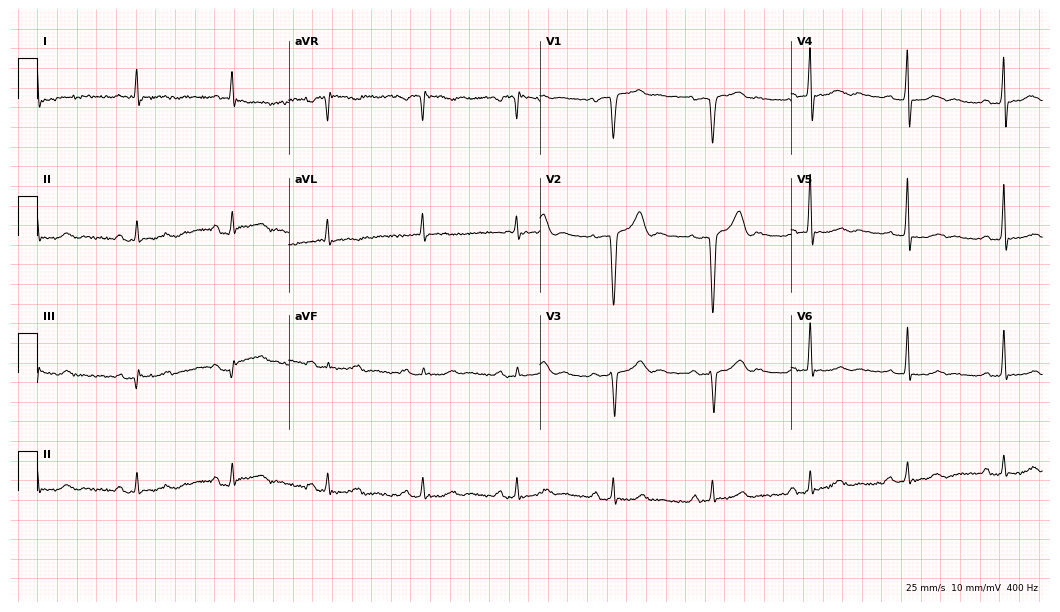
ECG — a male patient, 49 years old. Screened for six findings — first-degree AV block, right bundle branch block, left bundle branch block, sinus bradycardia, atrial fibrillation, sinus tachycardia — none is recorded.